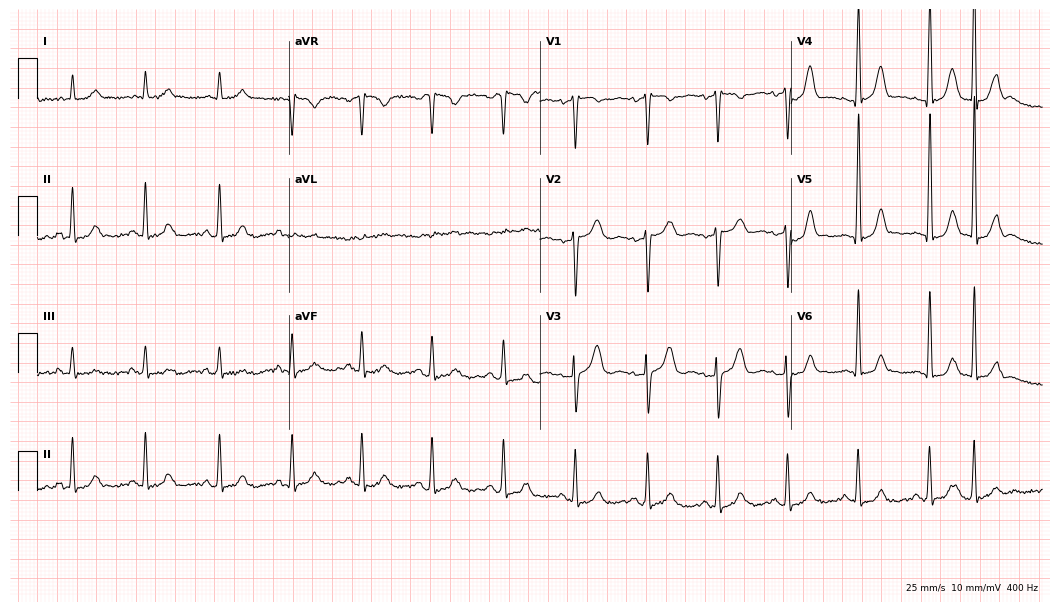
12-lead ECG from a woman, 69 years old. Screened for six findings — first-degree AV block, right bundle branch block, left bundle branch block, sinus bradycardia, atrial fibrillation, sinus tachycardia — none is recorded. Findings outside these six are not listed.